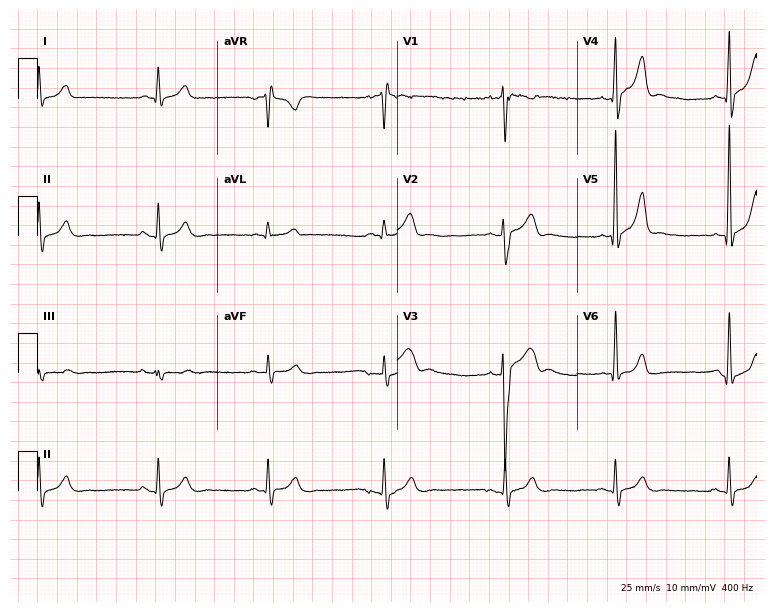
Resting 12-lead electrocardiogram. Patient: a 27-year-old male. None of these six findings is recorded: first-degree AV block, right bundle branch block, left bundle branch block, sinus bradycardia, atrial fibrillation, sinus tachycardia.